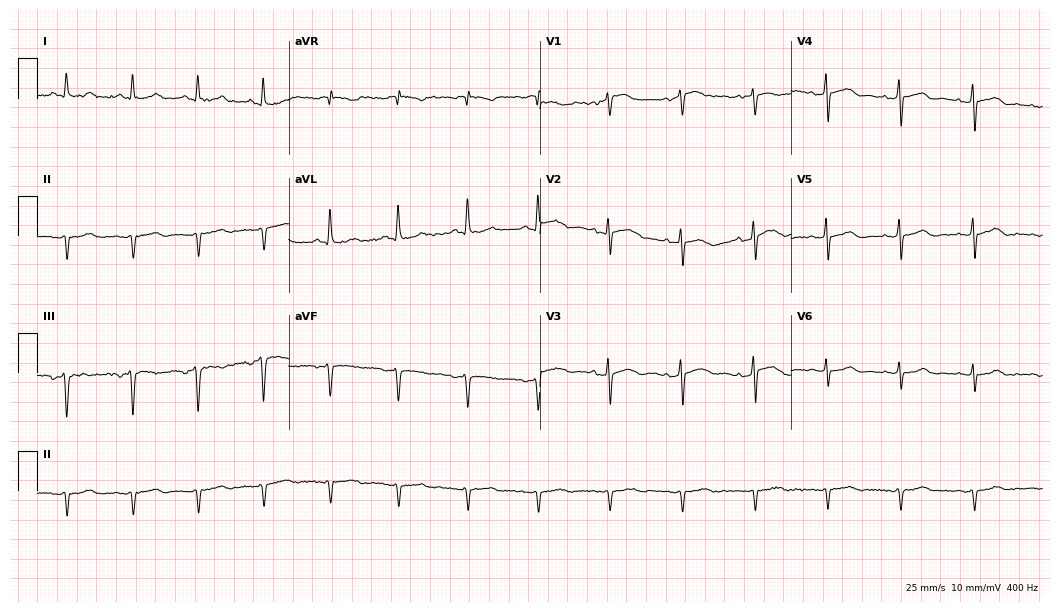
Resting 12-lead electrocardiogram. Patient: a 56-year-old male. None of these six findings is recorded: first-degree AV block, right bundle branch block (RBBB), left bundle branch block (LBBB), sinus bradycardia, atrial fibrillation (AF), sinus tachycardia. Findings outside these six are not listed.